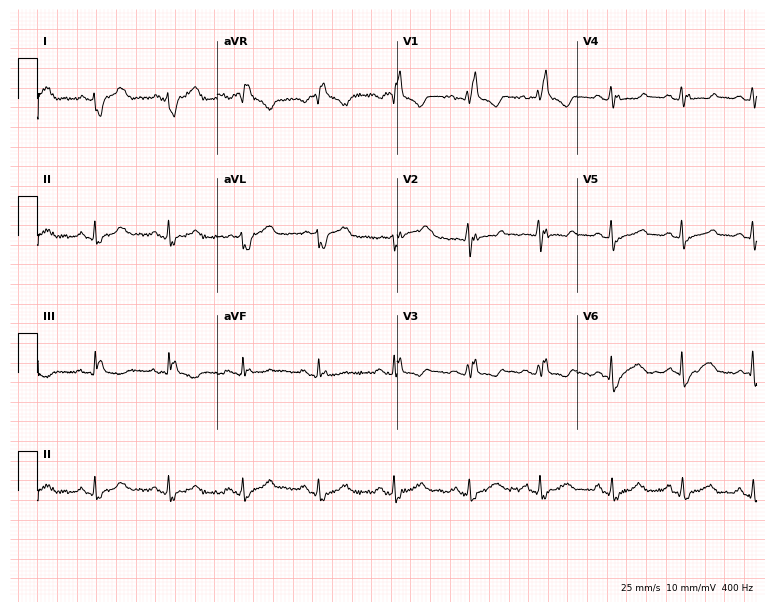
12-lead ECG from a female patient, 31 years old (7.3-second recording at 400 Hz). Shows right bundle branch block.